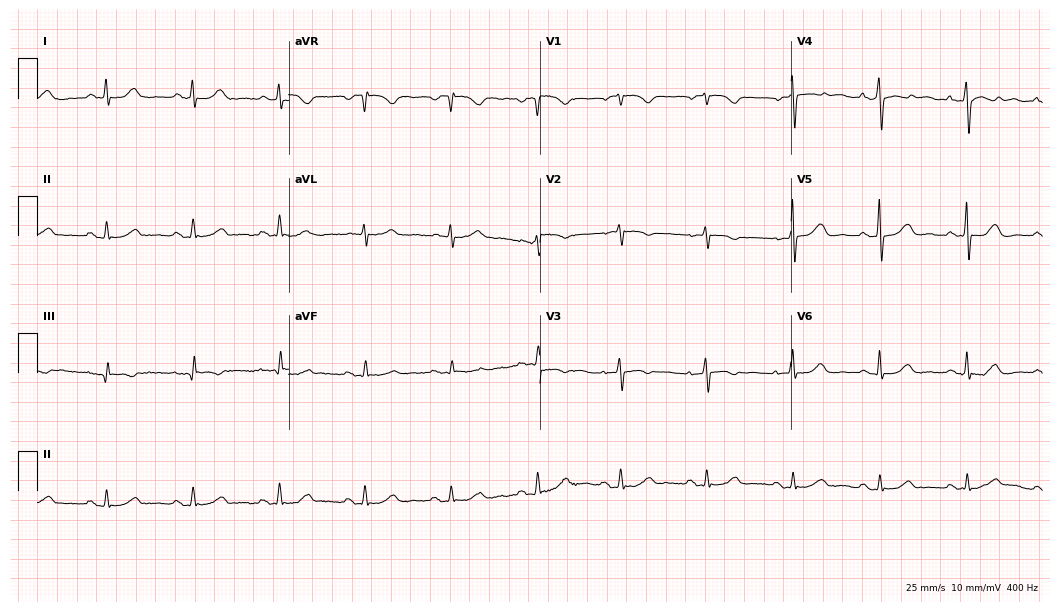
ECG (10.2-second recording at 400 Hz) — a 70-year-old female patient. Screened for six findings — first-degree AV block, right bundle branch block (RBBB), left bundle branch block (LBBB), sinus bradycardia, atrial fibrillation (AF), sinus tachycardia — none is recorded. Other findings, if any, are not listed.